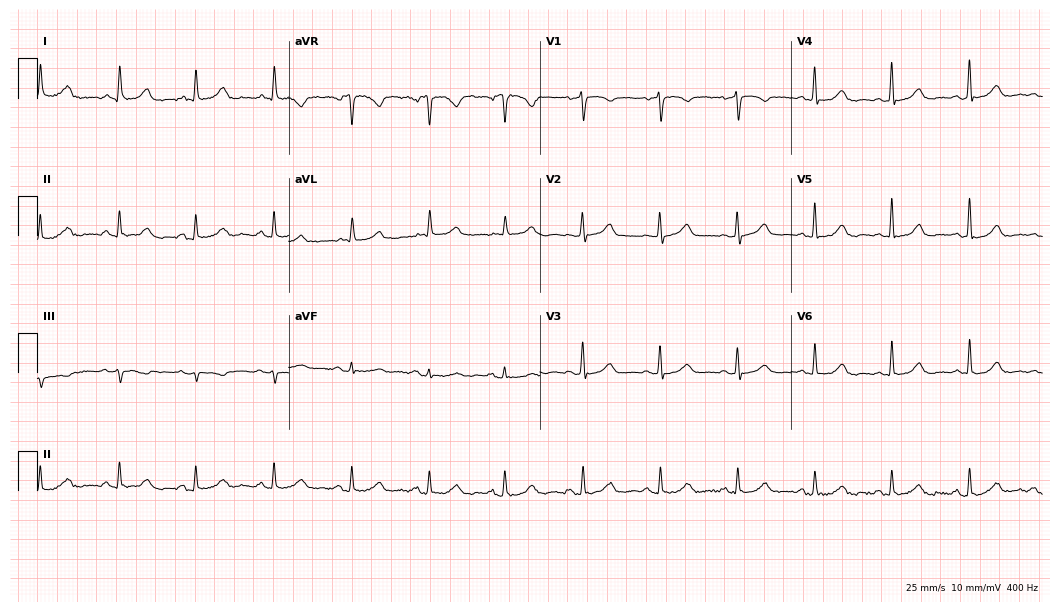
ECG — a female, 67 years old. Labelled as a normal ECG.